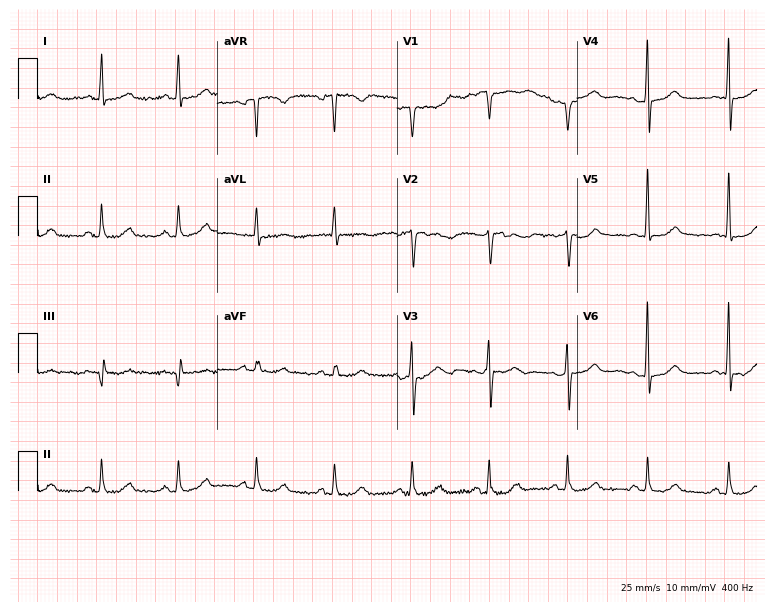
12-lead ECG (7.3-second recording at 400 Hz) from a 68-year-old man. Screened for six findings — first-degree AV block, right bundle branch block (RBBB), left bundle branch block (LBBB), sinus bradycardia, atrial fibrillation (AF), sinus tachycardia — none is recorded. Findings outside these six are not listed.